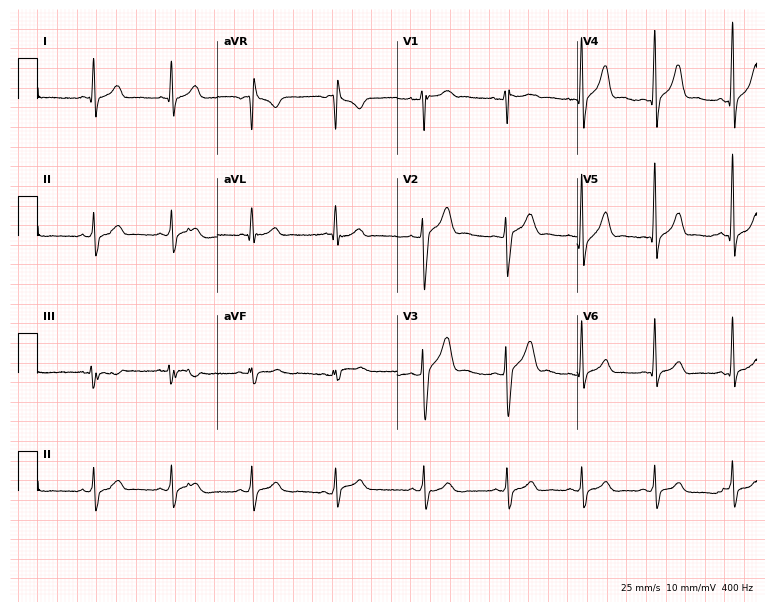
Resting 12-lead electrocardiogram (7.3-second recording at 400 Hz). Patient: a 17-year-old female. Read as a normal ECG.